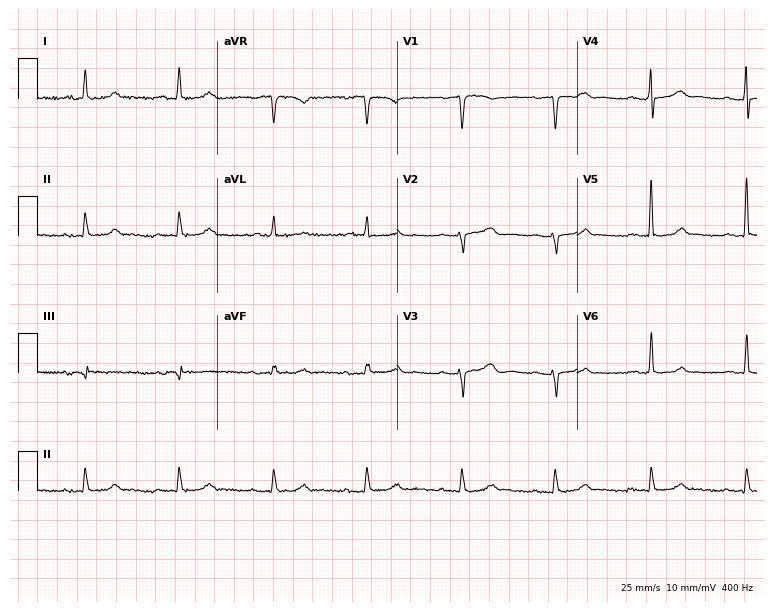
12-lead ECG from a 69-year-old woman. Screened for six findings — first-degree AV block, right bundle branch block (RBBB), left bundle branch block (LBBB), sinus bradycardia, atrial fibrillation (AF), sinus tachycardia — none is recorded. Only these six findings were labelled.